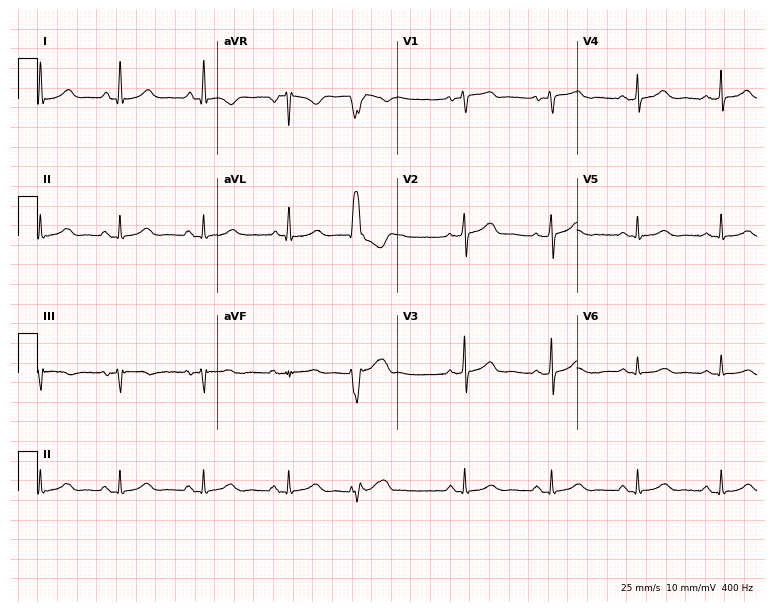
Electrocardiogram, a female patient, 65 years old. Of the six screened findings (first-degree AV block, right bundle branch block (RBBB), left bundle branch block (LBBB), sinus bradycardia, atrial fibrillation (AF), sinus tachycardia), none is recorded.